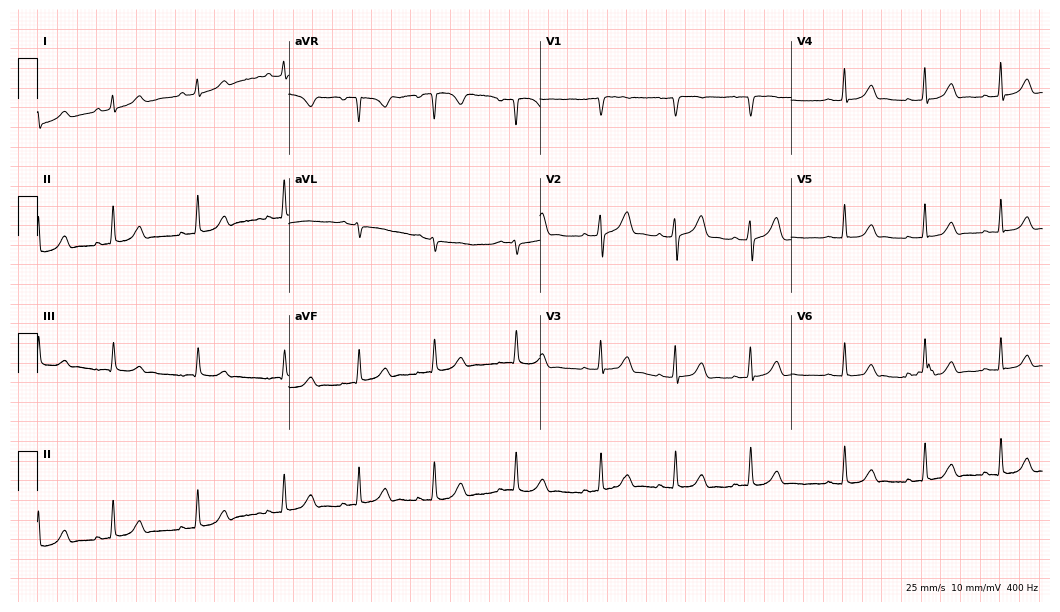
Resting 12-lead electrocardiogram. Patient: a 21-year-old woman. Read as a normal ECG.